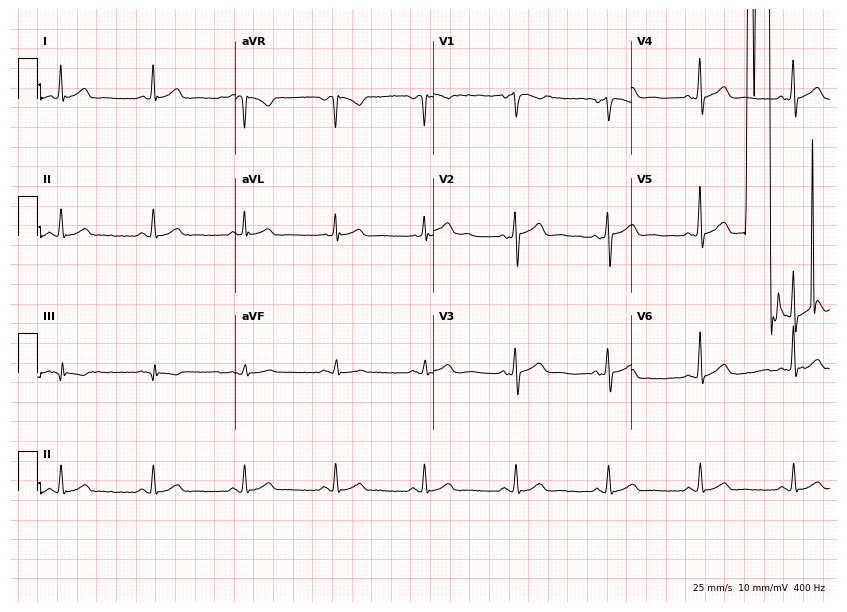
Electrocardiogram, a 45-year-old man. Overall reading on record: normal ECG.